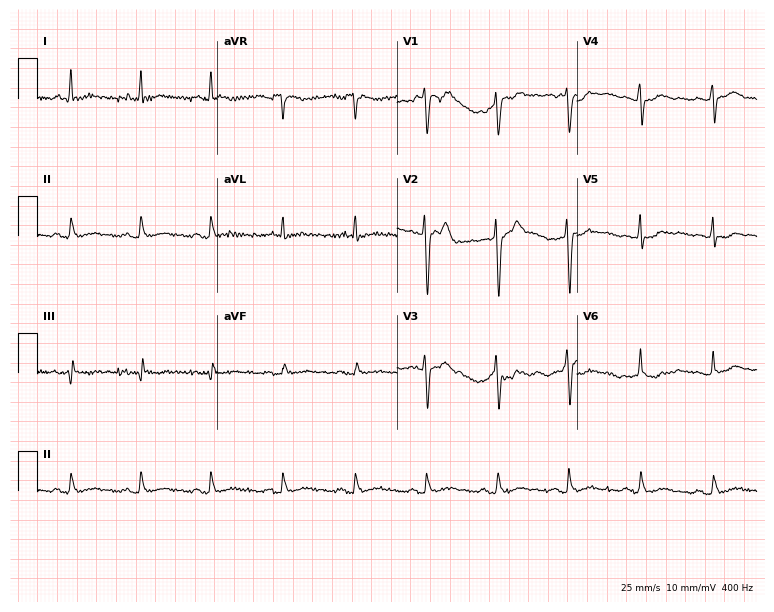
12-lead ECG from a 45-year-old man. No first-degree AV block, right bundle branch block (RBBB), left bundle branch block (LBBB), sinus bradycardia, atrial fibrillation (AF) or sinus tachycardia recorded for this tracing. Findings outside these six are not listed.